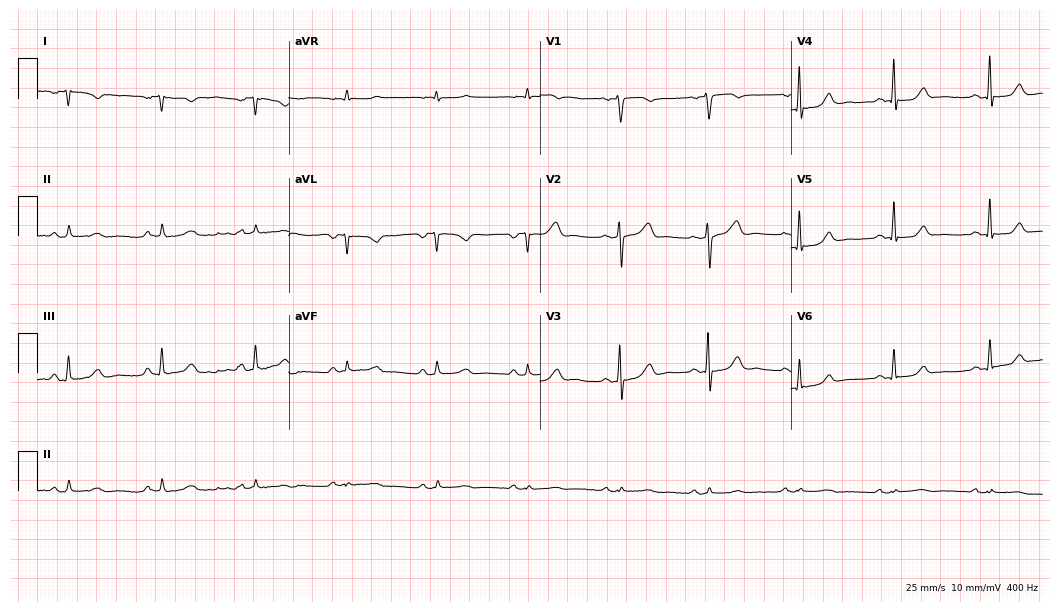
Standard 12-lead ECG recorded from a female, 65 years old (10.2-second recording at 400 Hz). None of these six findings is recorded: first-degree AV block, right bundle branch block, left bundle branch block, sinus bradycardia, atrial fibrillation, sinus tachycardia.